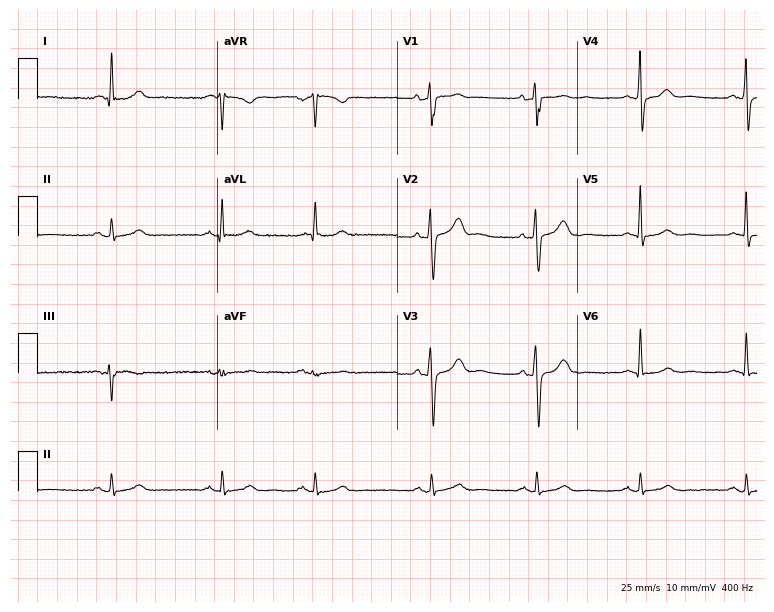
12-lead ECG from a male patient, 61 years old (7.3-second recording at 400 Hz). Recorded interpretation: within normal limits.